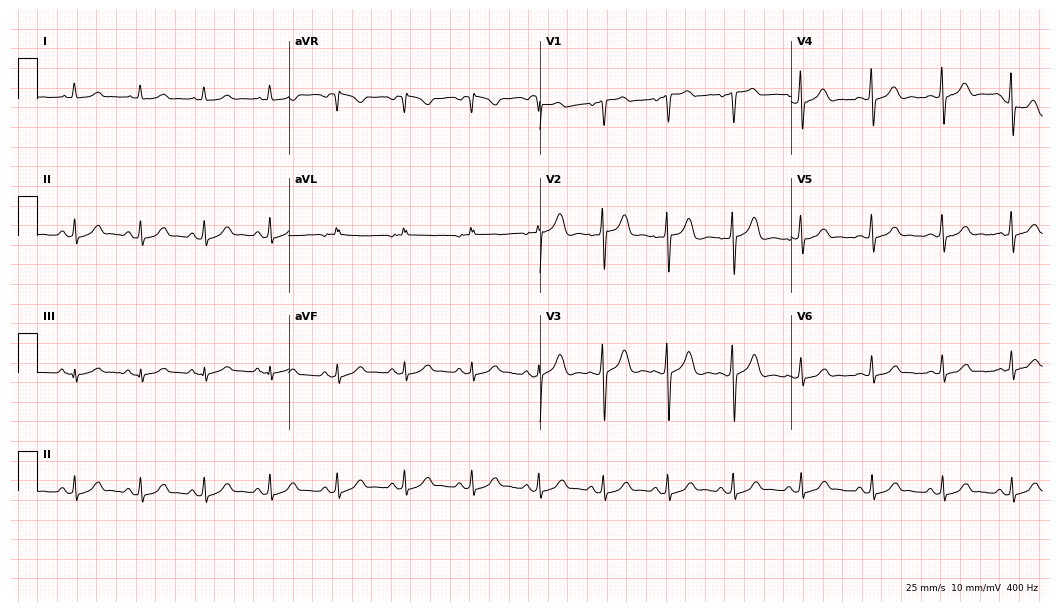
Electrocardiogram, a 44-year-old female. Of the six screened findings (first-degree AV block, right bundle branch block, left bundle branch block, sinus bradycardia, atrial fibrillation, sinus tachycardia), none is recorded. Findings outside these six are not listed.